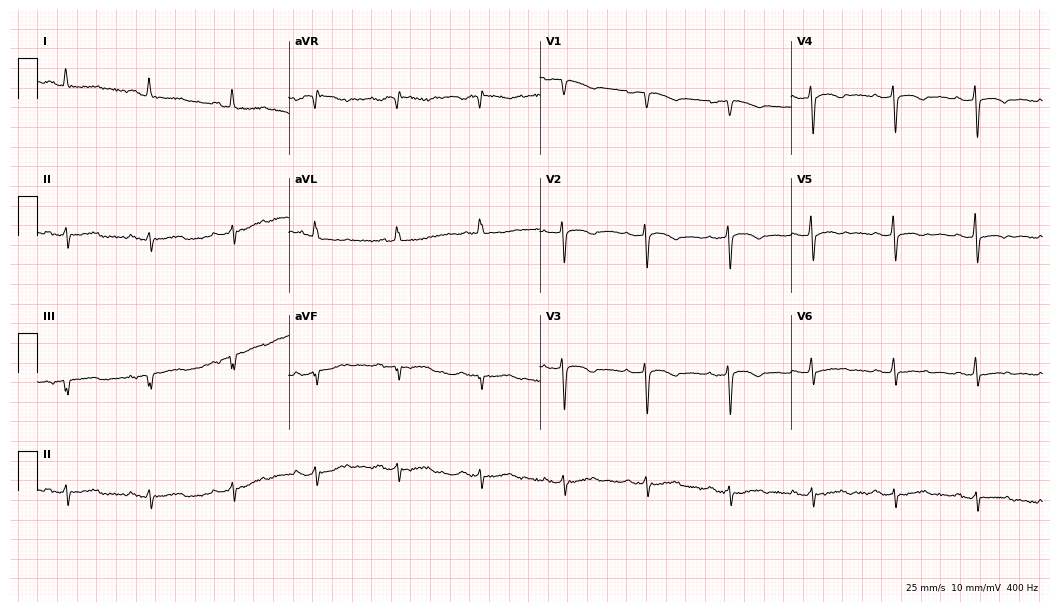
Resting 12-lead electrocardiogram. Patient: a 75-year-old woman. None of these six findings is recorded: first-degree AV block, right bundle branch block, left bundle branch block, sinus bradycardia, atrial fibrillation, sinus tachycardia. Other findings, if any, are not listed.